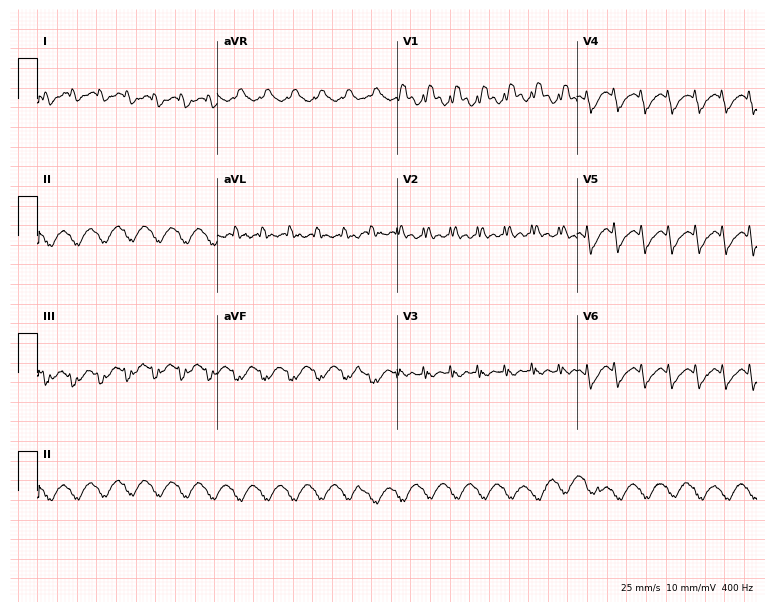
12-lead ECG (7.3-second recording at 400 Hz) from a 72-year-old female patient. Findings include right bundle branch block (RBBB).